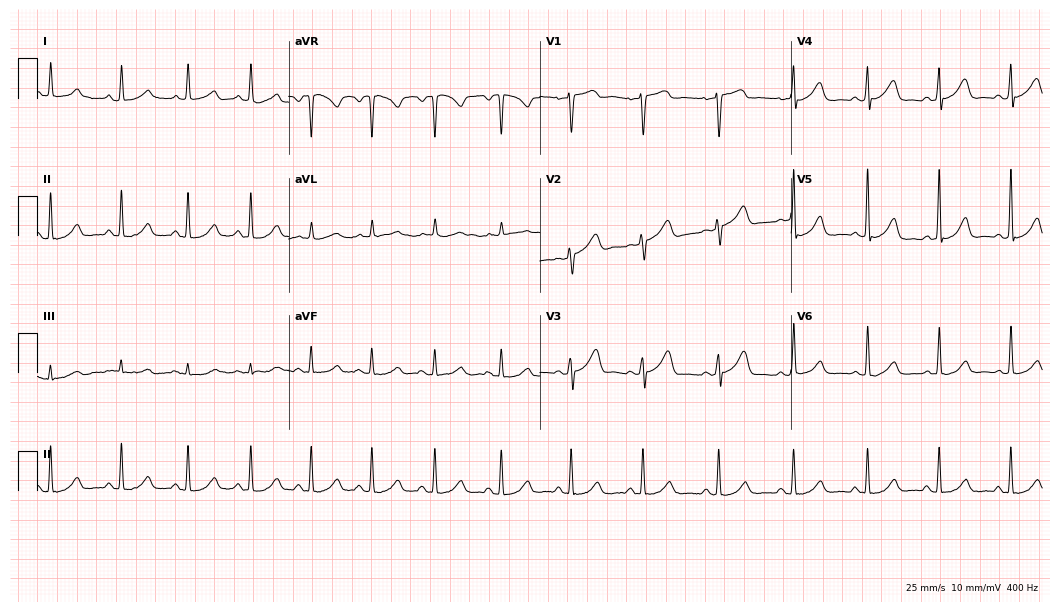
ECG (10.2-second recording at 400 Hz) — a 58-year-old female. Labelled as a normal ECG.